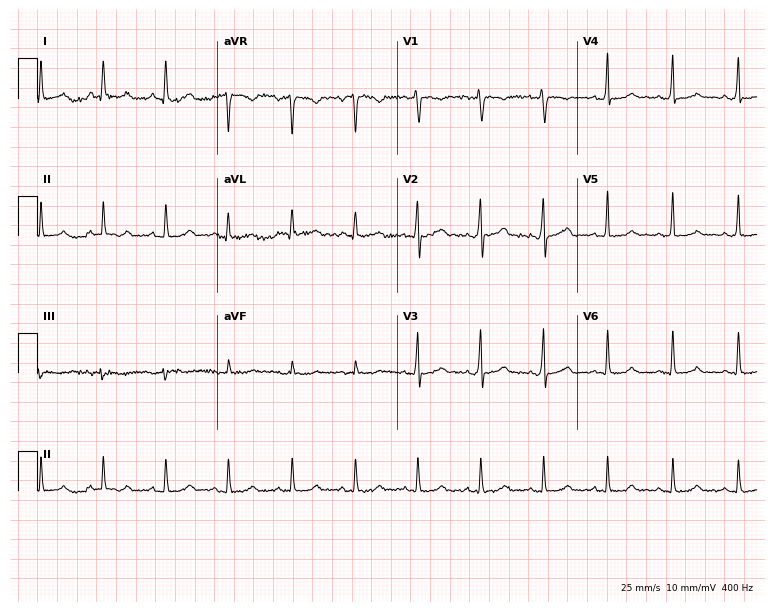
12-lead ECG (7.3-second recording at 400 Hz) from a female patient, 32 years old. Screened for six findings — first-degree AV block, right bundle branch block, left bundle branch block, sinus bradycardia, atrial fibrillation, sinus tachycardia — none is recorded. Findings outside these six are not listed.